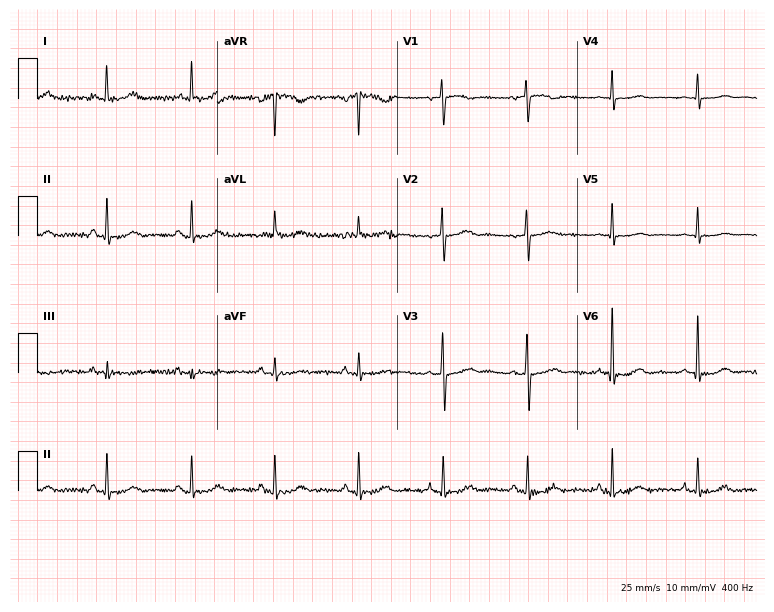
Resting 12-lead electrocardiogram (7.3-second recording at 400 Hz). Patient: a female, 57 years old. None of these six findings is recorded: first-degree AV block, right bundle branch block, left bundle branch block, sinus bradycardia, atrial fibrillation, sinus tachycardia.